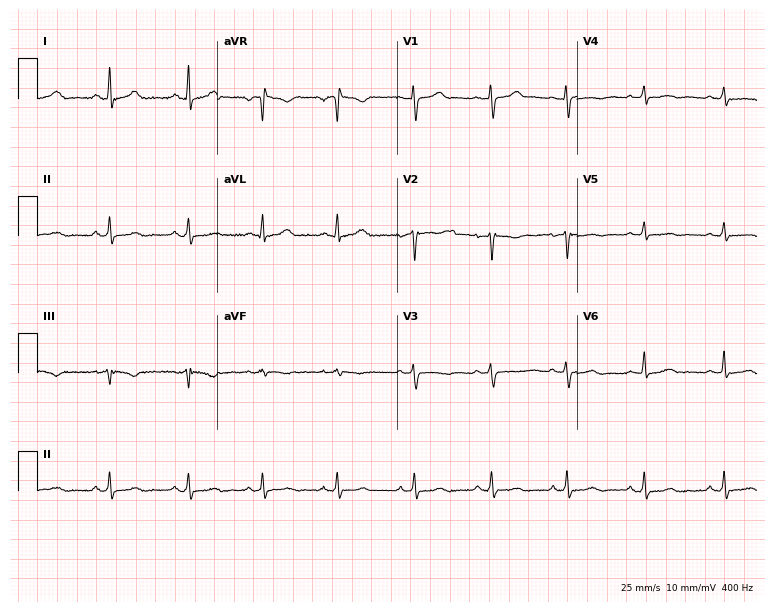
12-lead ECG (7.3-second recording at 400 Hz) from a 39-year-old female. Labelled as a normal ECG.